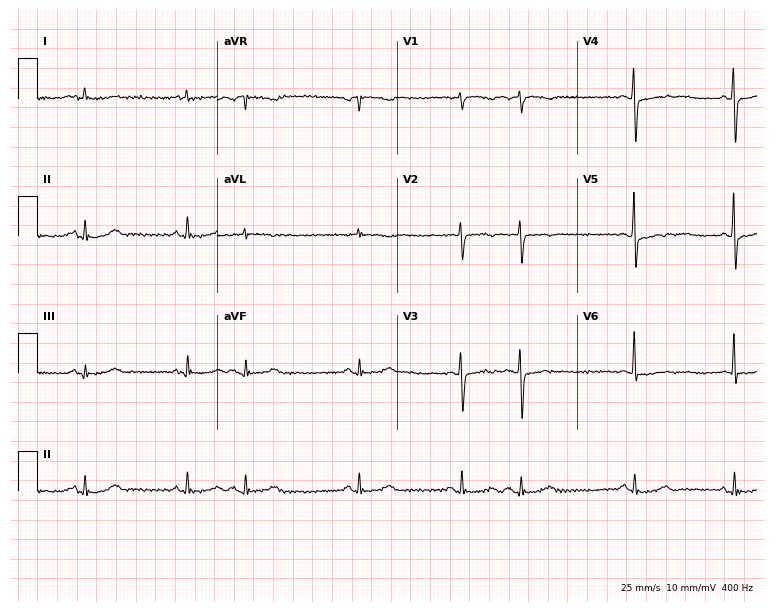
12-lead ECG from an 85-year-old male (7.3-second recording at 400 Hz). No first-degree AV block, right bundle branch block (RBBB), left bundle branch block (LBBB), sinus bradycardia, atrial fibrillation (AF) or sinus tachycardia recorded for this tracing.